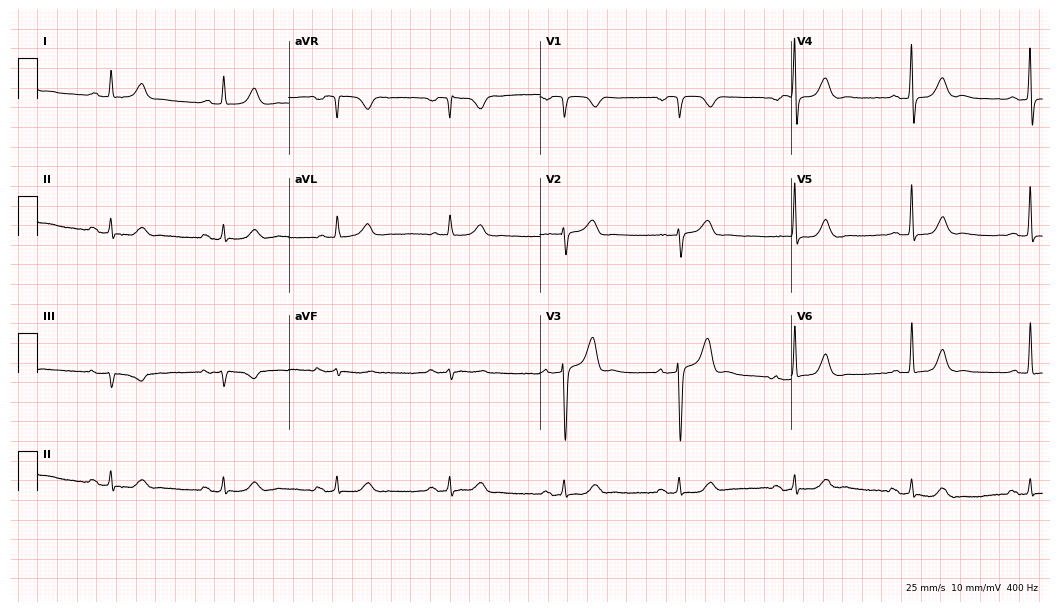
12-lead ECG (10.2-second recording at 400 Hz) from a male, 74 years old. Findings include first-degree AV block.